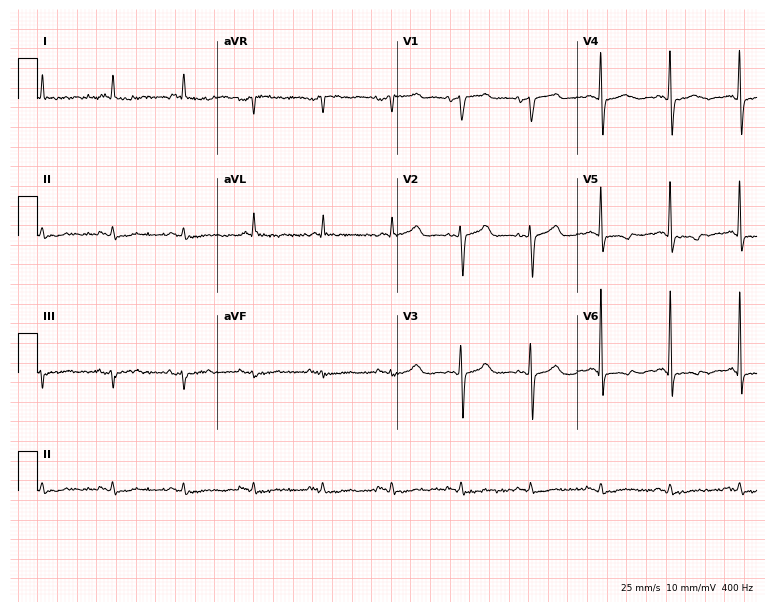
Standard 12-lead ECG recorded from a woman, 78 years old. None of these six findings is recorded: first-degree AV block, right bundle branch block, left bundle branch block, sinus bradycardia, atrial fibrillation, sinus tachycardia. Findings outside these six are not listed.